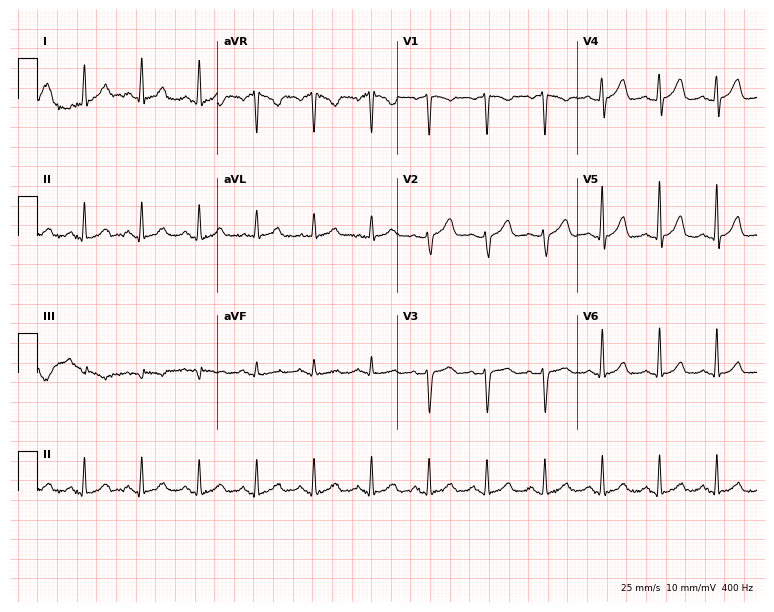
Standard 12-lead ECG recorded from a 40-year-old female. Read as a normal ECG.